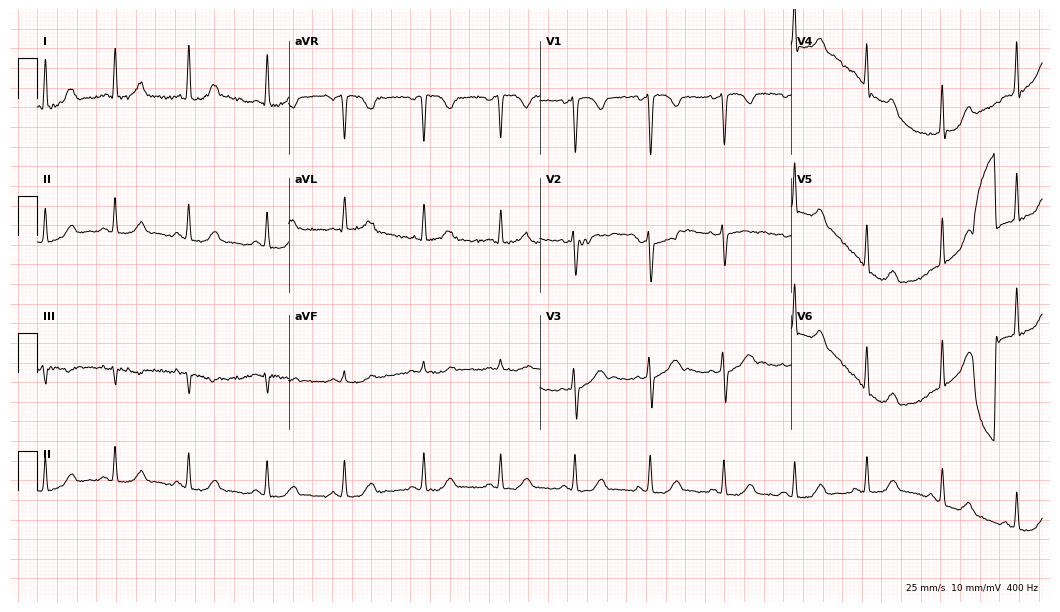
12-lead ECG from a 21-year-old woman (10.2-second recording at 400 Hz). Recorded interpretation: within normal limits.